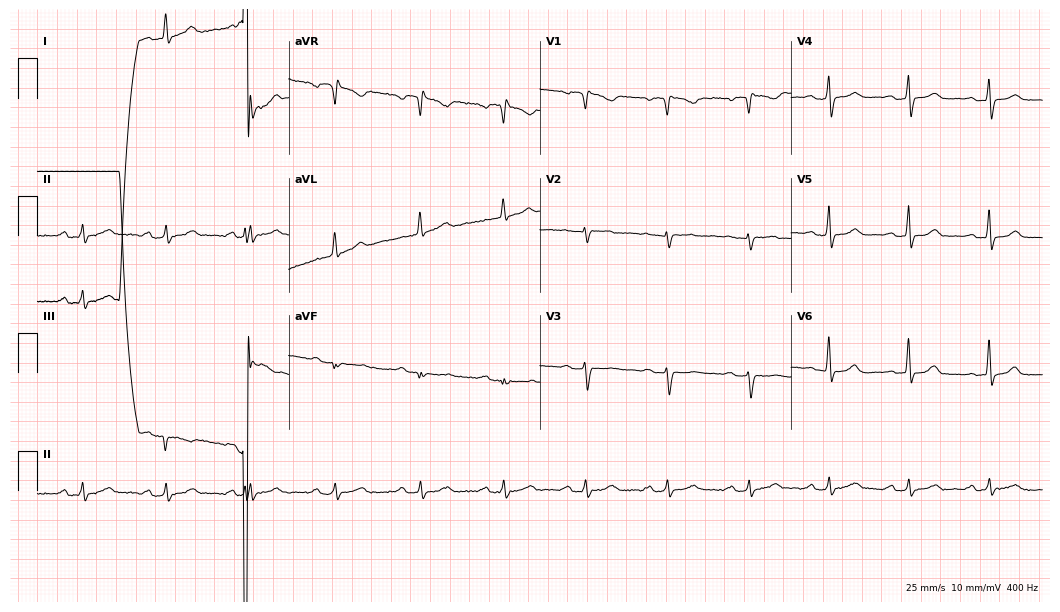
Electrocardiogram (10.2-second recording at 400 Hz), a male patient, 64 years old. Of the six screened findings (first-degree AV block, right bundle branch block, left bundle branch block, sinus bradycardia, atrial fibrillation, sinus tachycardia), none is recorded.